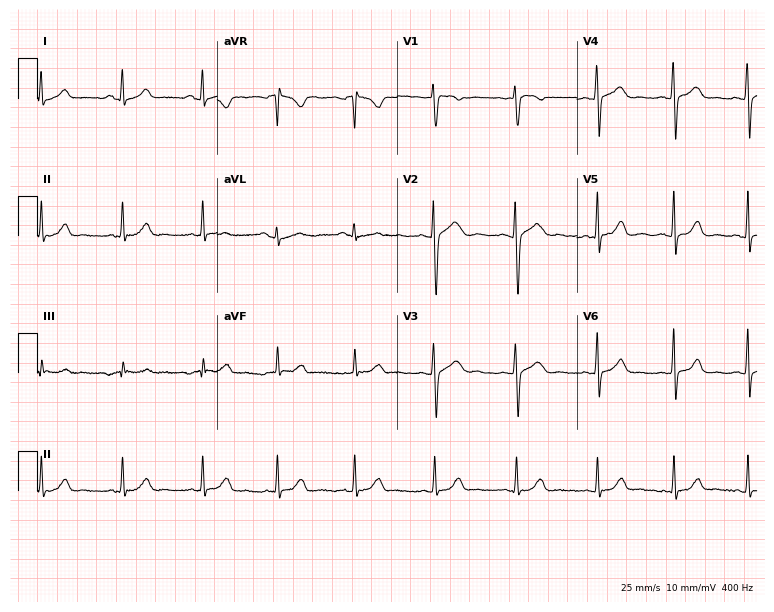
ECG — a woman, 27 years old. Screened for six findings — first-degree AV block, right bundle branch block, left bundle branch block, sinus bradycardia, atrial fibrillation, sinus tachycardia — none is recorded.